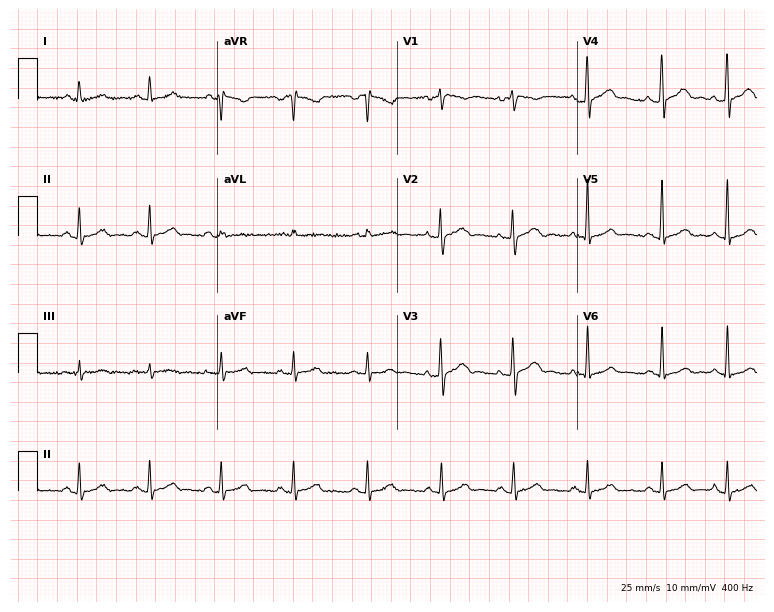
12-lead ECG from a male, 20 years old. Recorded interpretation: within normal limits.